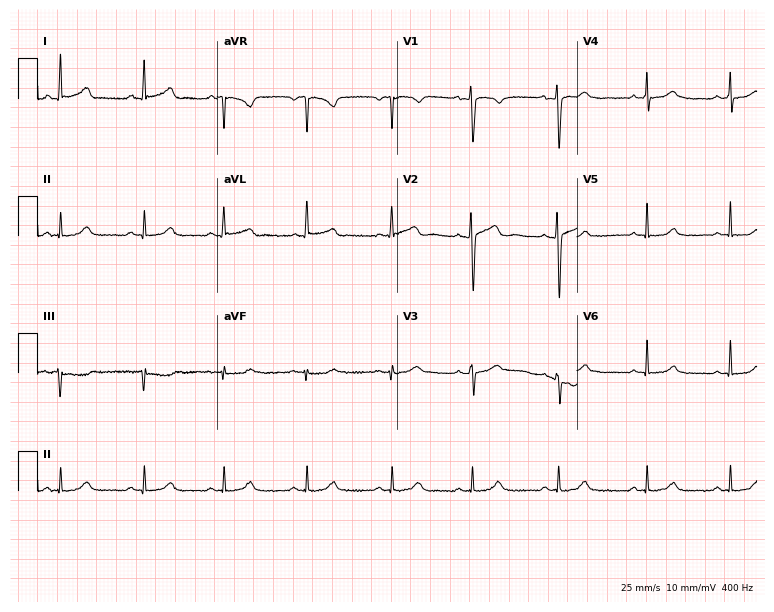
Standard 12-lead ECG recorded from a 33-year-old woman (7.3-second recording at 400 Hz). Read as a normal ECG.